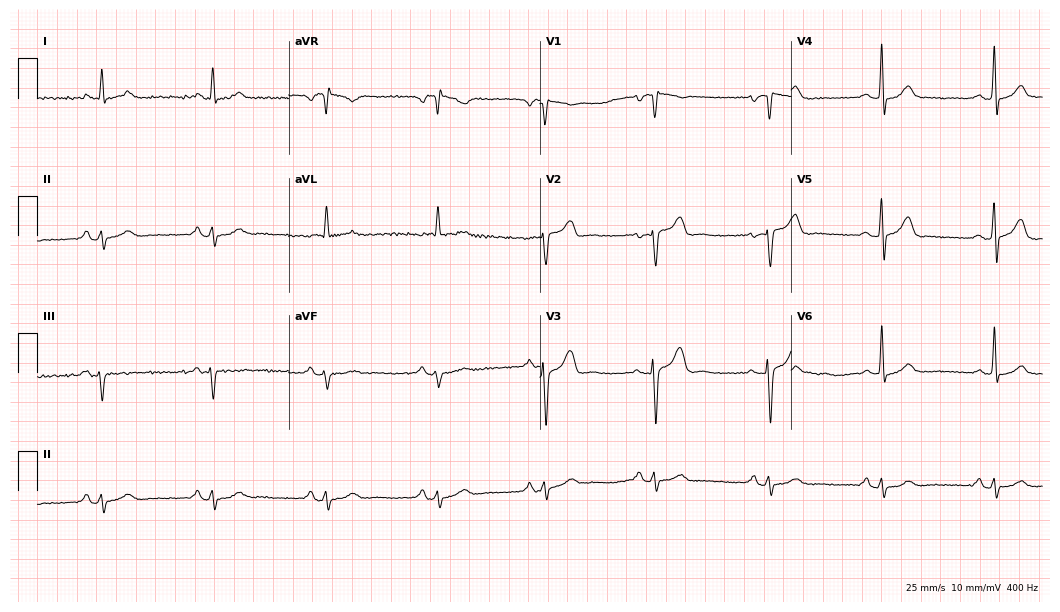
Resting 12-lead electrocardiogram. Patient: a 52-year-old male. Read as a normal ECG.